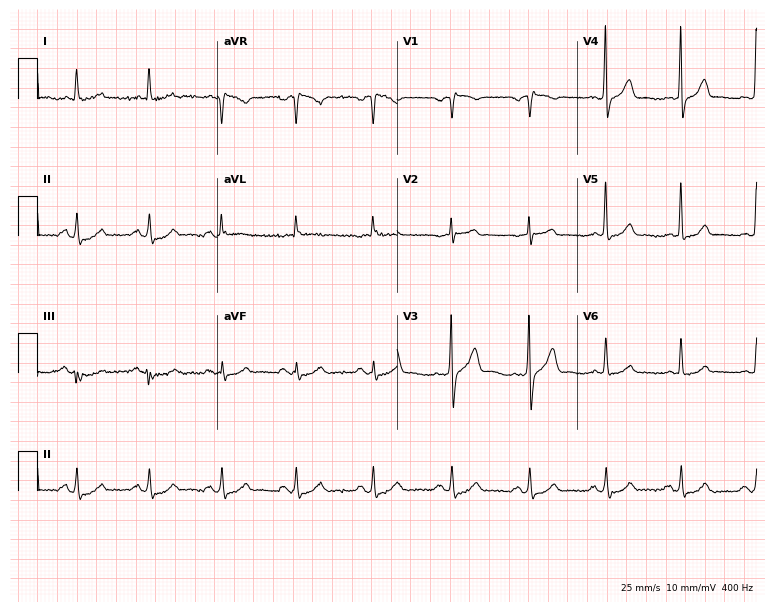
Resting 12-lead electrocardiogram. Patient: a male, 62 years old. Read as a normal ECG.